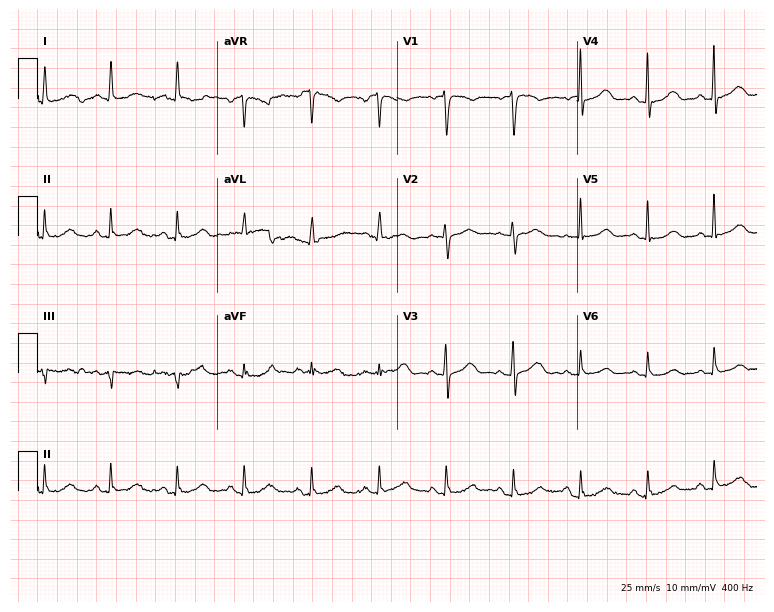
ECG (7.3-second recording at 400 Hz) — a 65-year-old woman. Labelled as a normal ECG.